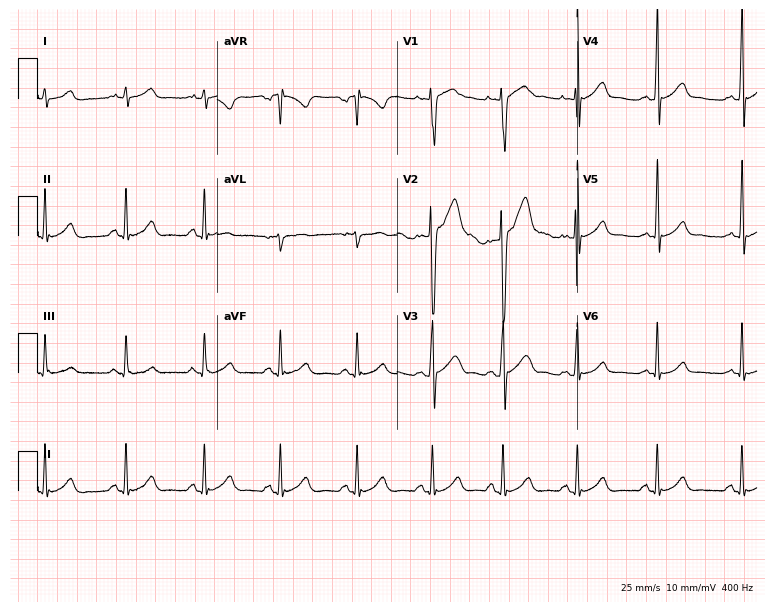
Electrocardiogram (7.3-second recording at 400 Hz), a 17-year-old male. Overall reading on record: normal ECG.